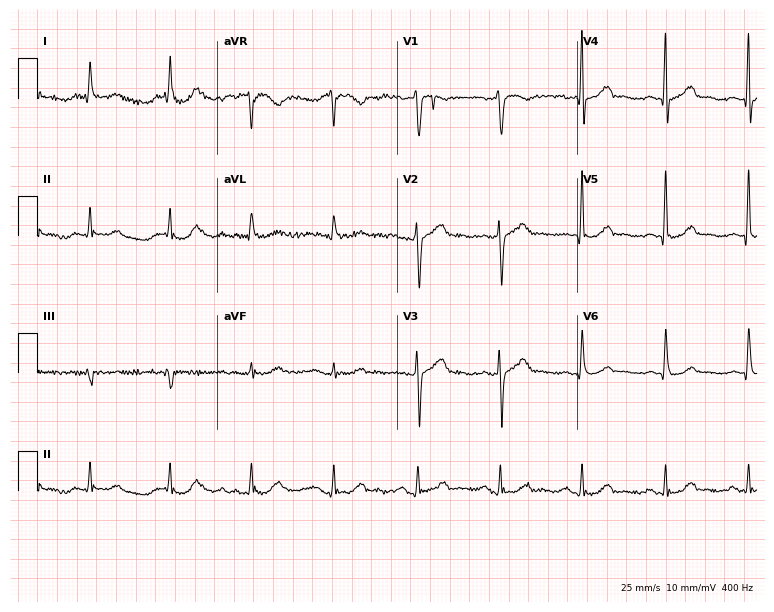
Standard 12-lead ECG recorded from a male patient, 49 years old (7.3-second recording at 400 Hz). Read as a normal ECG.